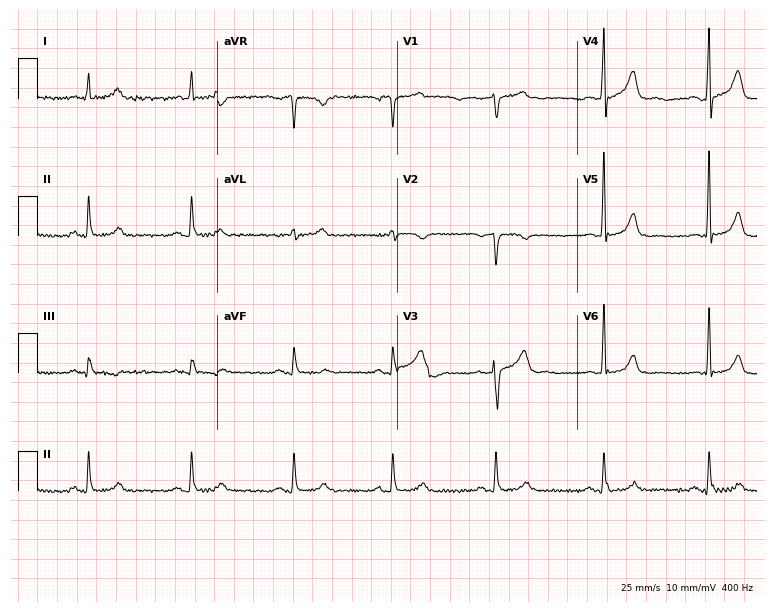
ECG (7.3-second recording at 400 Hz) — a male, 62 years old. Labelled as a normal ECG.